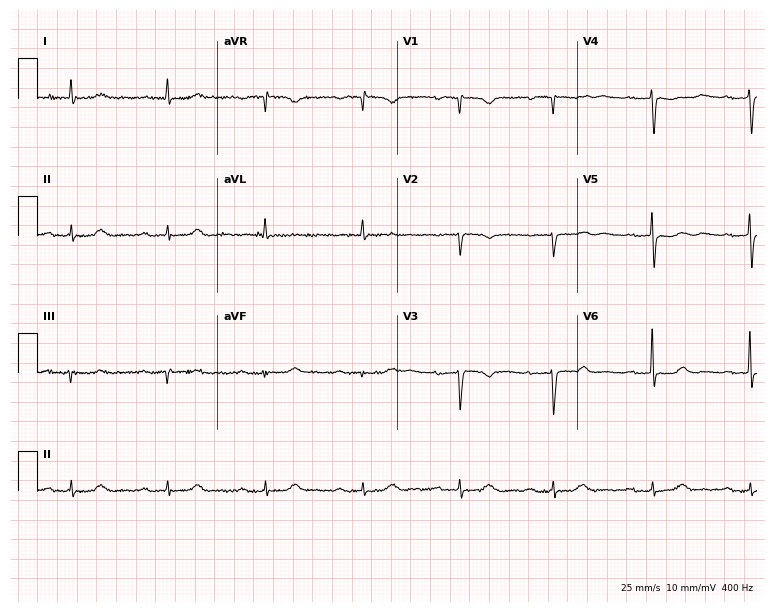
ECG (7.3-second recording at 400 Hz) — a woman, 79 years old. Screened for six findings — first-degree AV block, right bundle branch block, left bundle branch block, sinus bradycardia, atrial fibrillation, sinus tachycardia — none is recorded. Only these six findings were labelled.